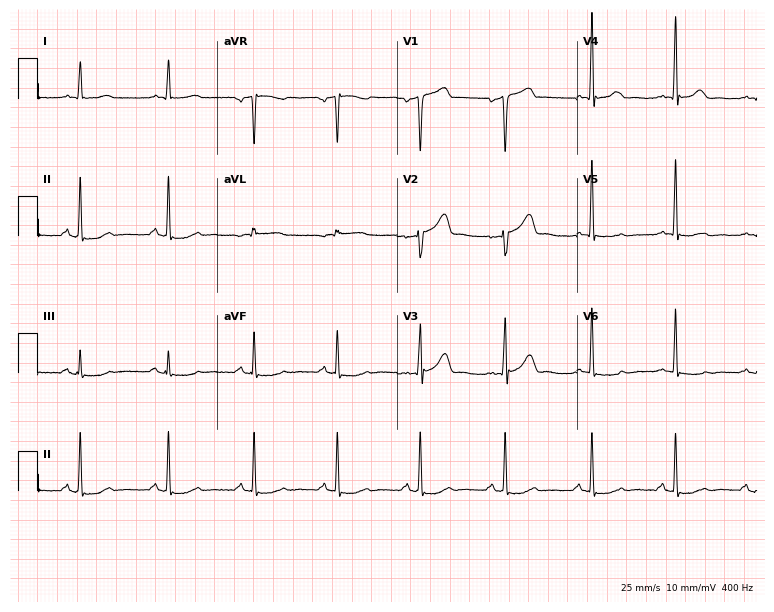
12-lead ECG (7.3-second recording at 400 Hz) from a male, 63 years old. Screened for six findings — first-degree AV block, right bundle branch block, left bundle branch block, sinus bradycardia, atrial fibrillation, sinus tachycardia — none is recorded.